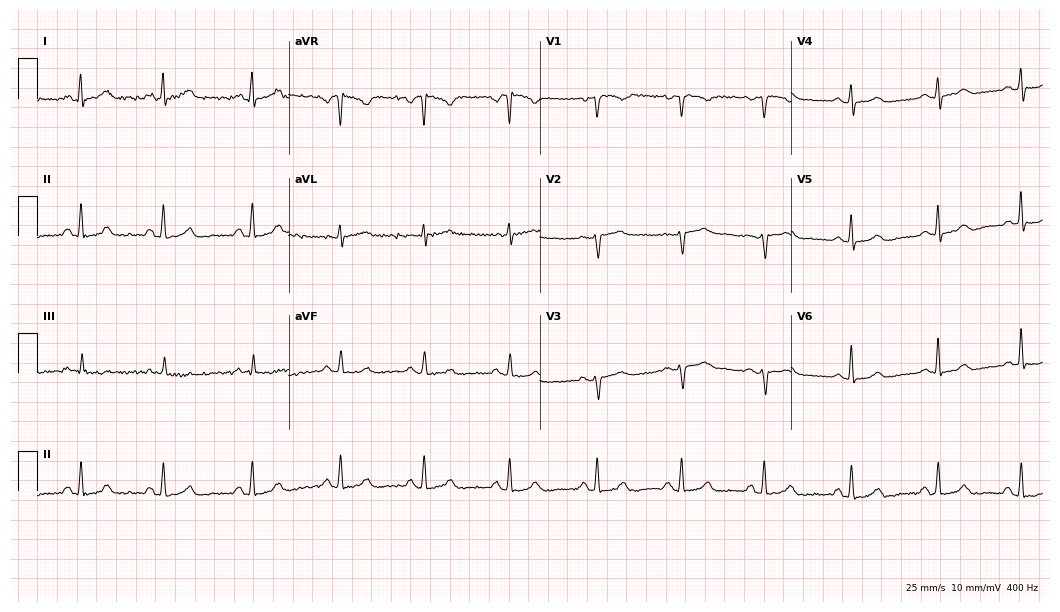
12-lead ECG from a female, 33 years old. No first-degree AV block, right bundle branch block, left bundle branch block, sinus bradycardia, atrial fibrillation or sinus tachycardia recorded for this tracing.